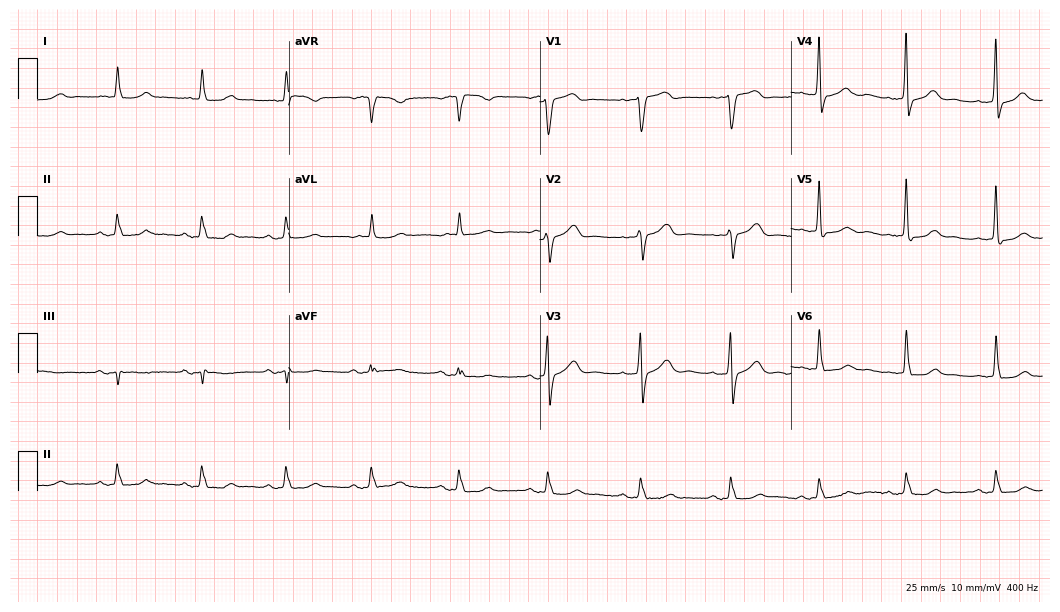
12-lead ECG from a 78-year-old female (10.2-second recording at 400 Hz). No first-degree AV block, right bundle branch block (RBBB), left bundle branch block (LBBB), sinus bradycardia, atrial fibrillation (AF) or sinus tachycardia recorded for this tracing. Other findings, if any, are not listed.